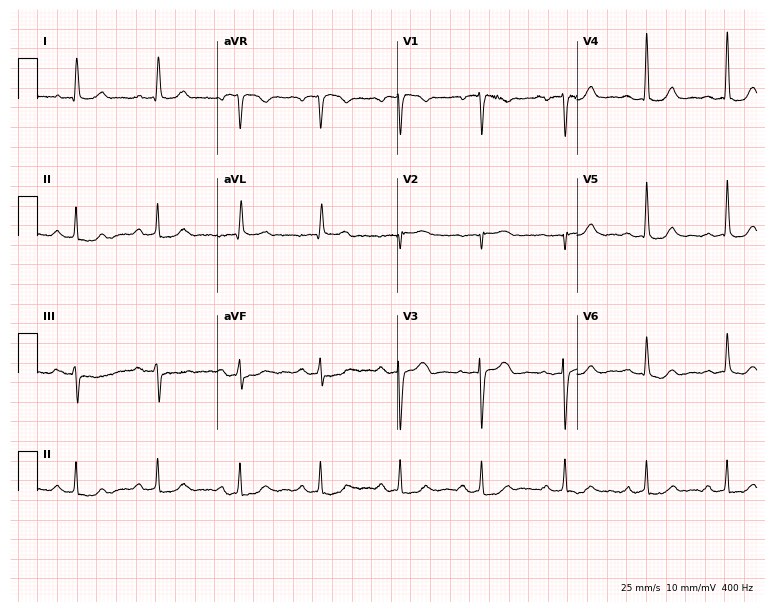
ECG — a female patient, 73 years old. Labelled as a normal ECG.